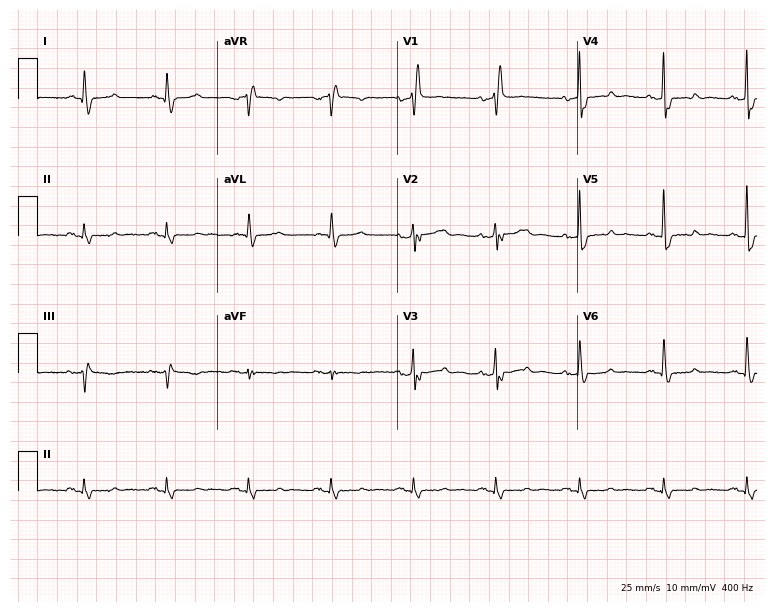
ECG — a man, 80 years old. Findings include right bundle branch block (RBBB).